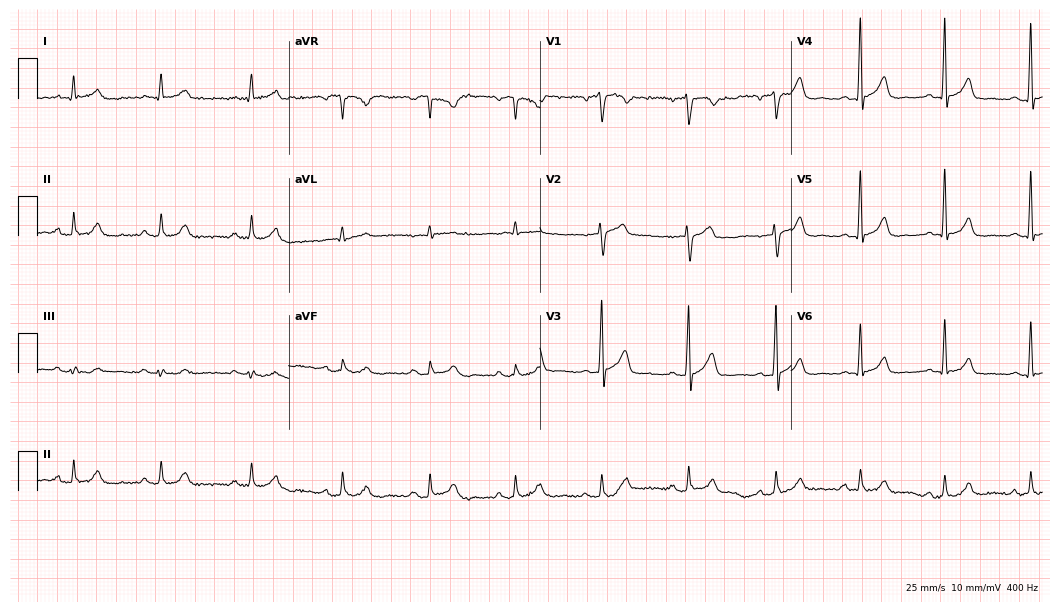
12-lead ECG from a male, 52 years old (10.2-second recording at 400 Hz). Recorded interpretation: within normal limits.